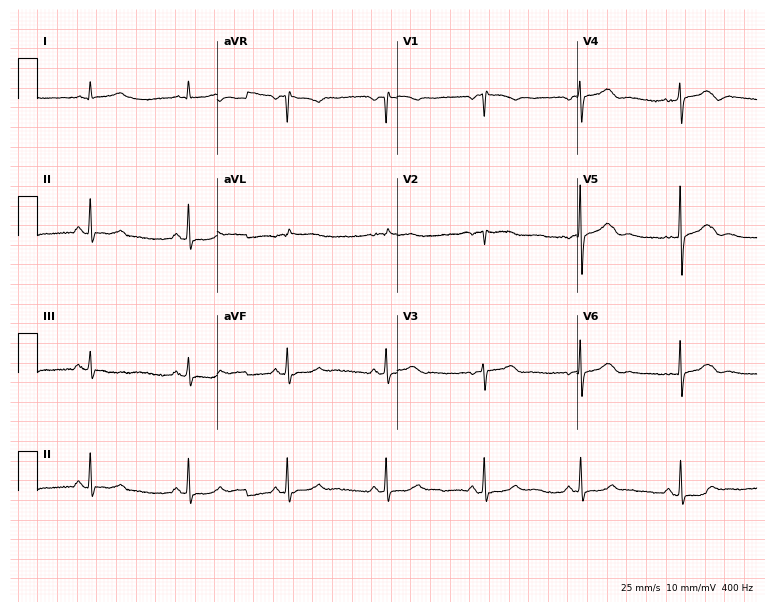
Standard 12-lead ECG recorded from a female patient, 74 years old. None of these six findings is recorded: first-degree AV block, right bundle branch block (RBBB), left bundle branch block (LBBB), sinus bradycardia, atrial fibrillation (AF), sinus tachycardia.